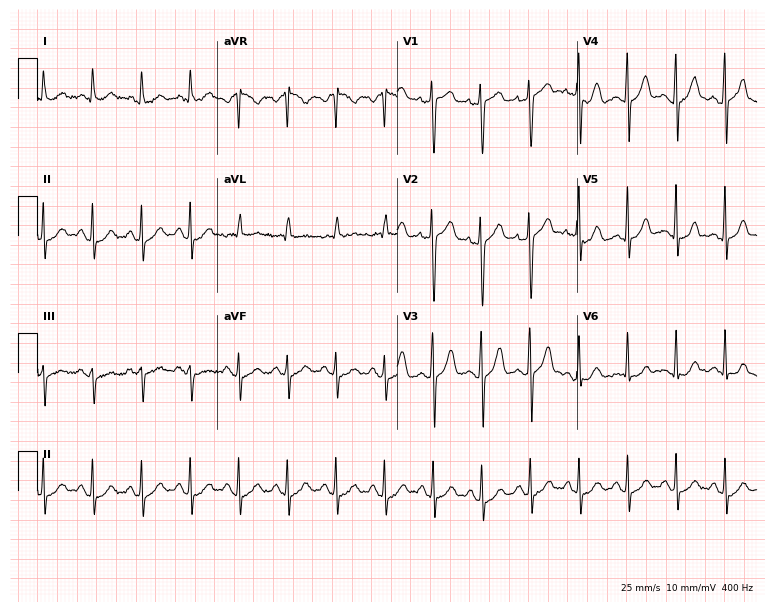
Standard 12-lead ECG recorded from a male patient, 54 years old. The tracing shows sinus tachycardia (a sinus rate of 100 beats per minute or more).